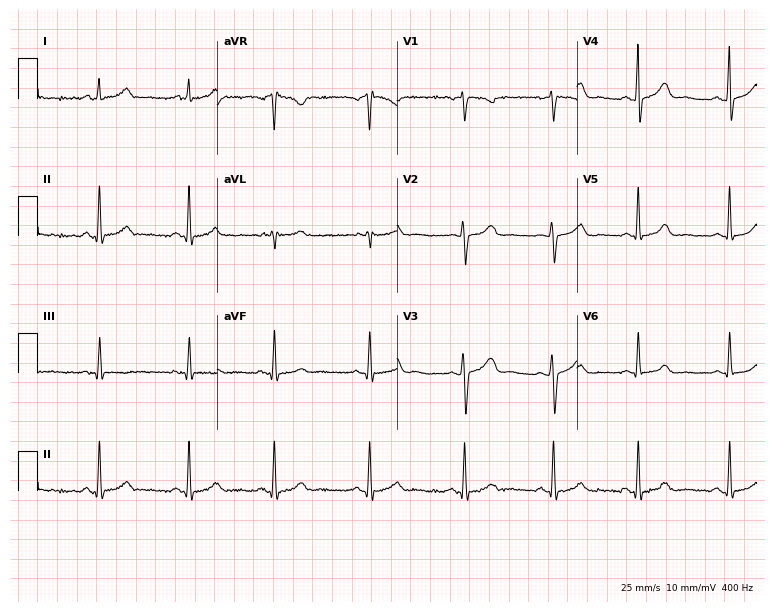
Electrocardiogram (7.3-second recording at 400 Hz), a female patient, 31 years old. Of the six screened findings (first-degree AV block, right bundle branch block, left bundle branch block, sinus bradycardia, atrial fibrillation, sinus tachycardia), none is recorded. Findings outside these six are not listed.